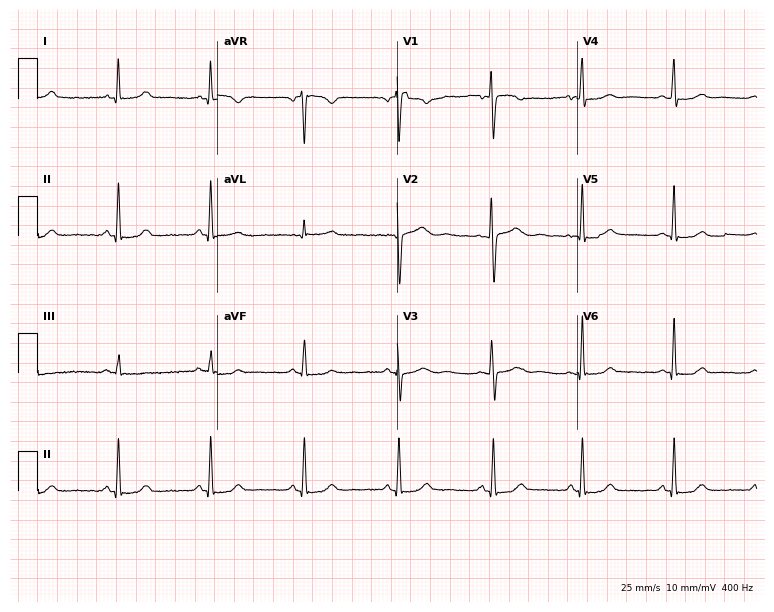
Resting 12-lead electrocardiogram (7.3-second recording at 400 Hz). Patient: a woman, 37 years old. None of these six findings is recorded: first-degree AV block, right bundle branch block, left bundle branch block, sinus bradycardia, atrial fibrillation, sinus tachycardia. Only these six findings were labelled.